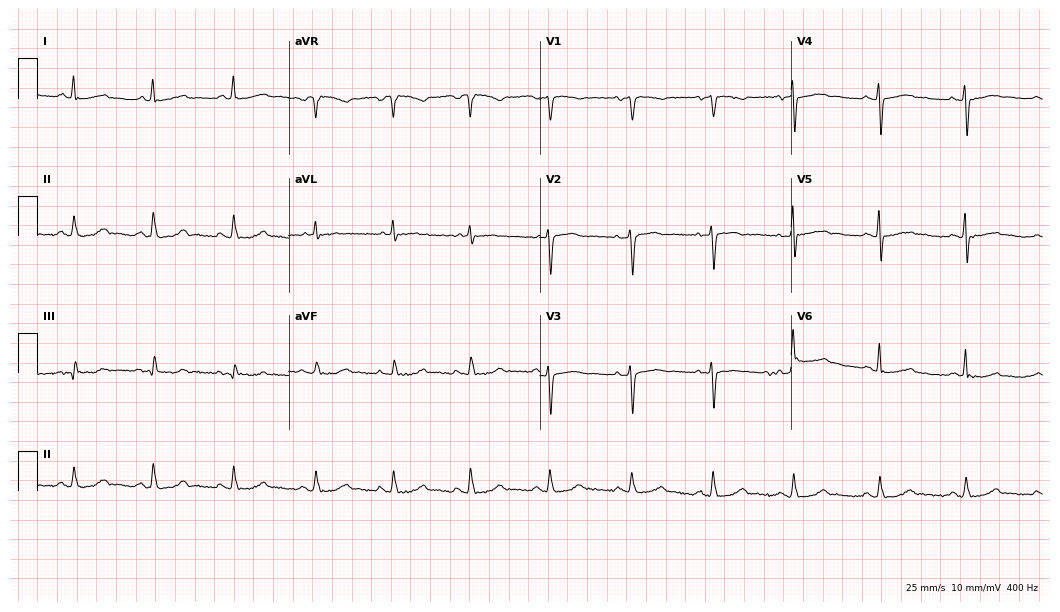
ECG — a 61-year-old female. Screened for six findings — first-degree AV block, right bundle branch block, left bundle branch block, sinus bradycardia, atrial fibrillation, sinus tachycardia — none is recorded. Other findings, if any, are not listed.